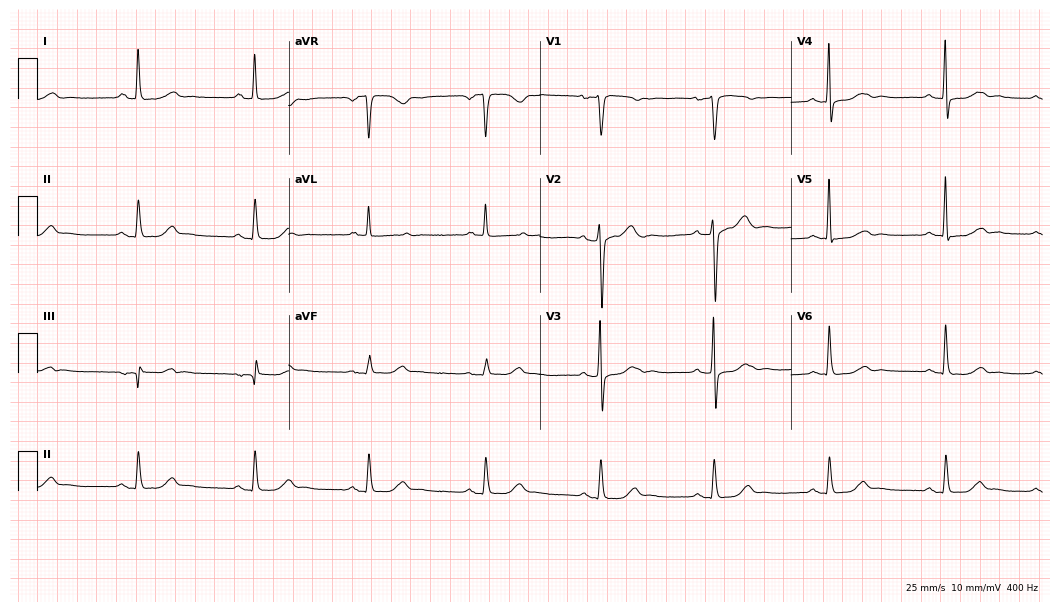
Resting 12-lead electrocardiogram. Patient: a female, 57 years old. Read as a normal ECG.